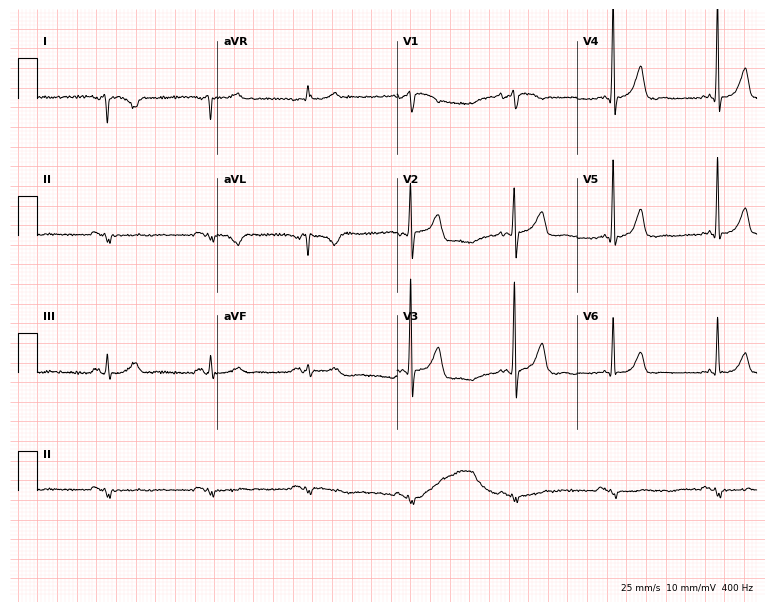
12-lead ECG from a 74-year-old male (7.3-second recording at 400 Hz). No first-degree AV block, right bundle branch block, left bundle branch block, sinus bradycardia, atrial fibrillation or sinus tachycardia recorded for this tracing. Findings outside these six are not listed.